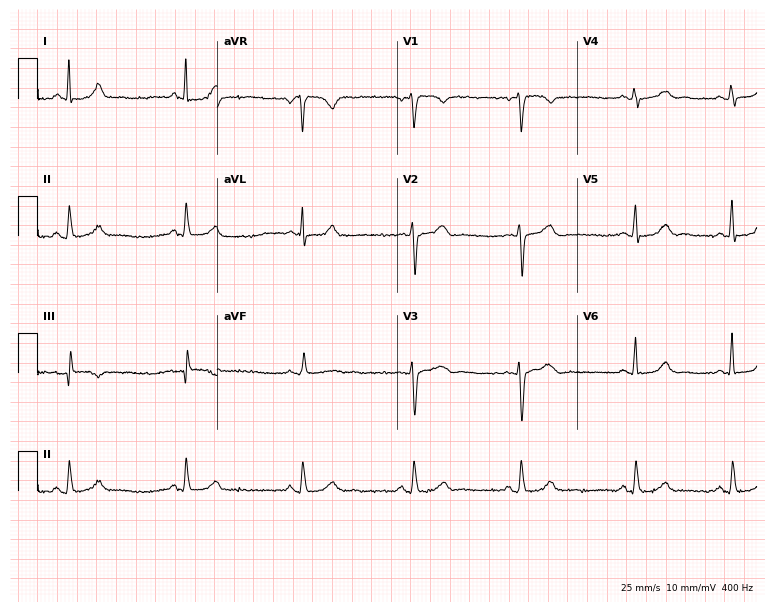
Electrocardiogram (7.3-second recording at 400 Hz), a 47-year-old woman. Overall reading on record: normal ECG.